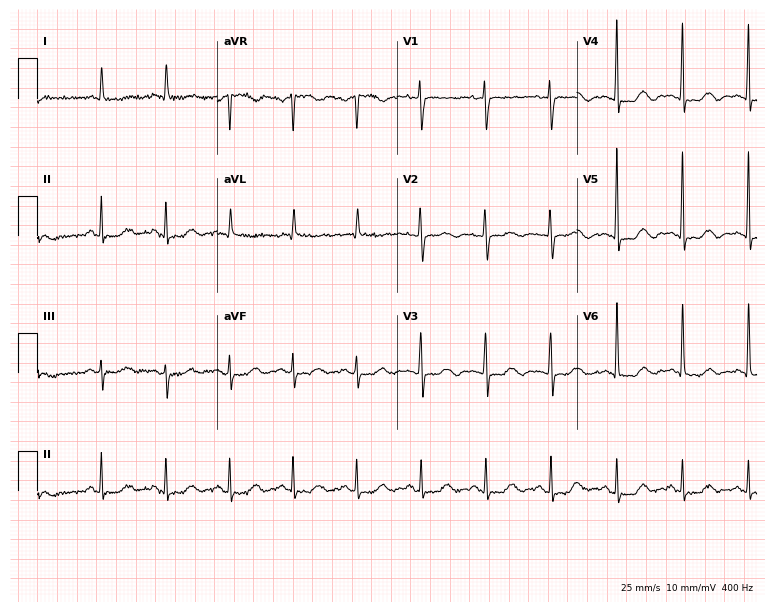
Electrocardiogram, a female patient, 73 years old. Of the six screened findings (first-degree AV block, right bundle branch block, left bundle branch block, sinus bradycardia, atrial fibrillation, sinus tachycardia), none is recorded. Only these six findings were labelled.